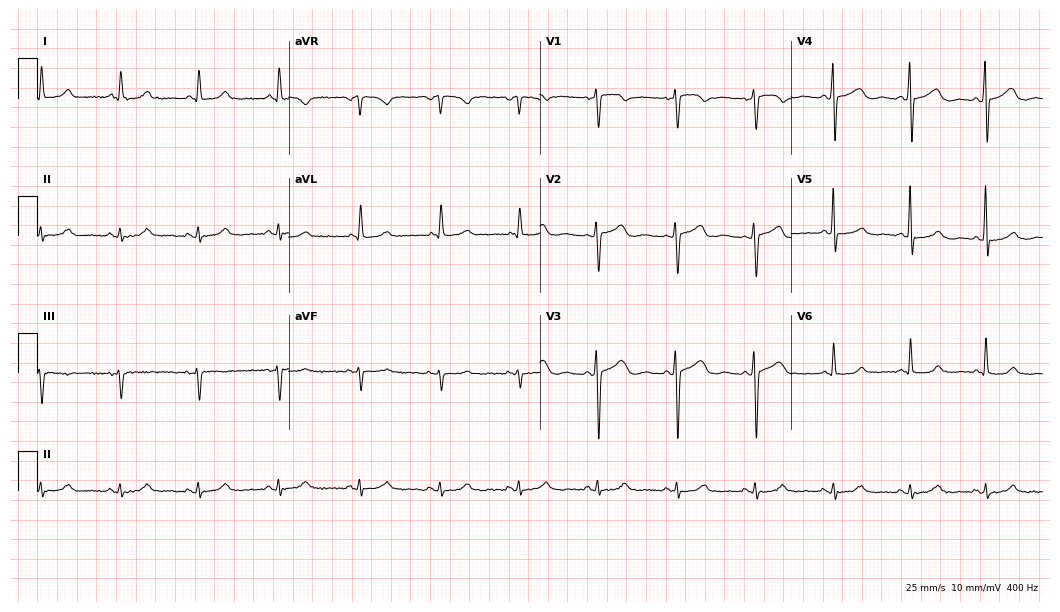
ECG (10.2-second recording at 400 Hz) — a woman, 64 years old. Labelled as a normal ECG.